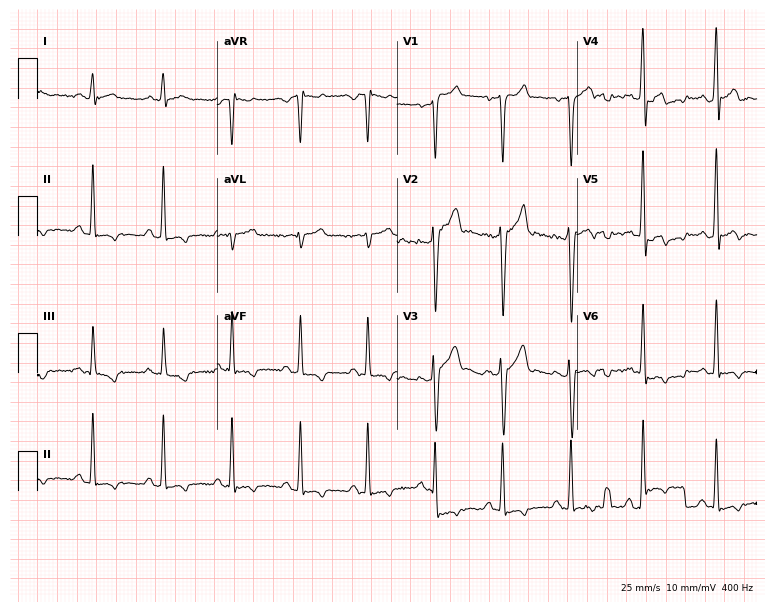
Standard 12-lead ECG recorded from a male, 34 years old. None of these six findings is recorded: first-degree AV block, right bundle branch block, left bundle branch block, sinus bradycardia, atrial fibrillation, sinus tachycardia. Findings outside these six are not listed.